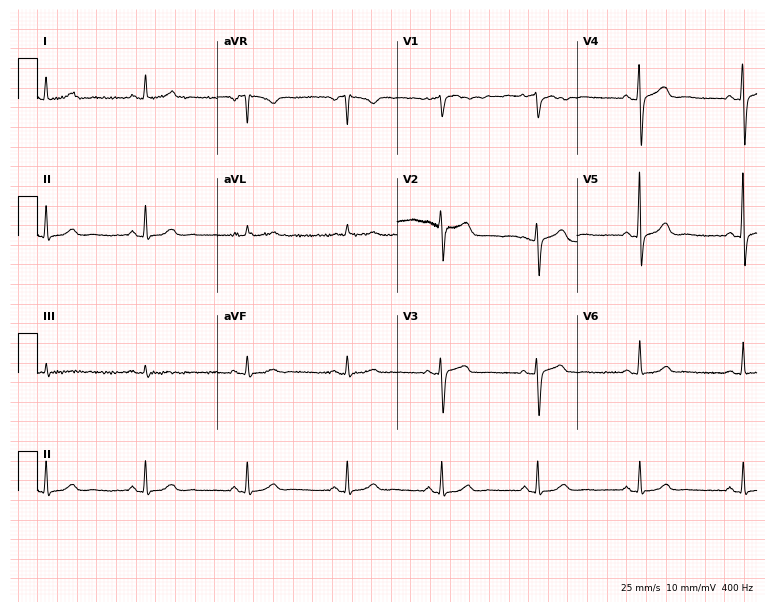
Resting 12-lead electrocardiogram (7.3-second recording at 400 Hz). Patient: a 55-year-old female. Read as a normal ECG.